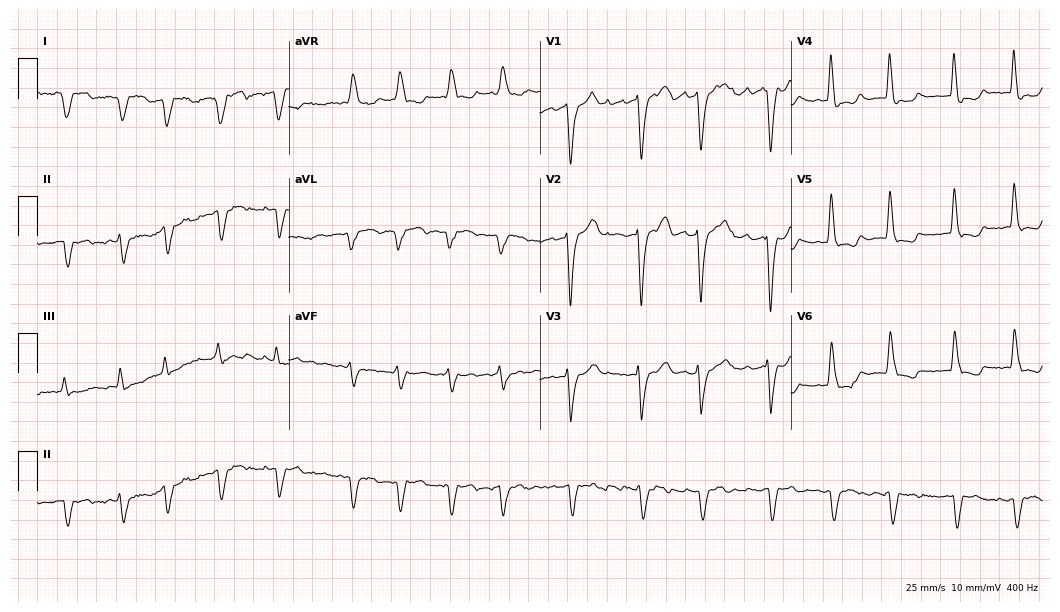
Electrocardiogram (10.2-second recording at 400 Hz), a female patient, 77 years old. Interpretation includes atrial fibrillation.